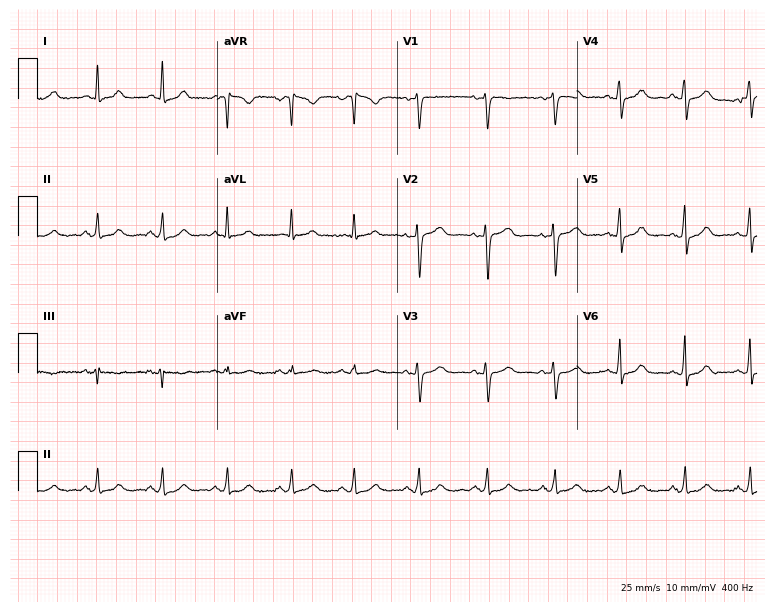
Standard 12-lead ECG recorded from a female, 54 years old (7.3-second recording at 400 Hz). None of these six findings is recorded: first-degree AV block, right bundle branch block, left bundle branch block, sinus bradycardia, atrial fibrillation, sinus tachycardia. Findings outside these six are not listed.